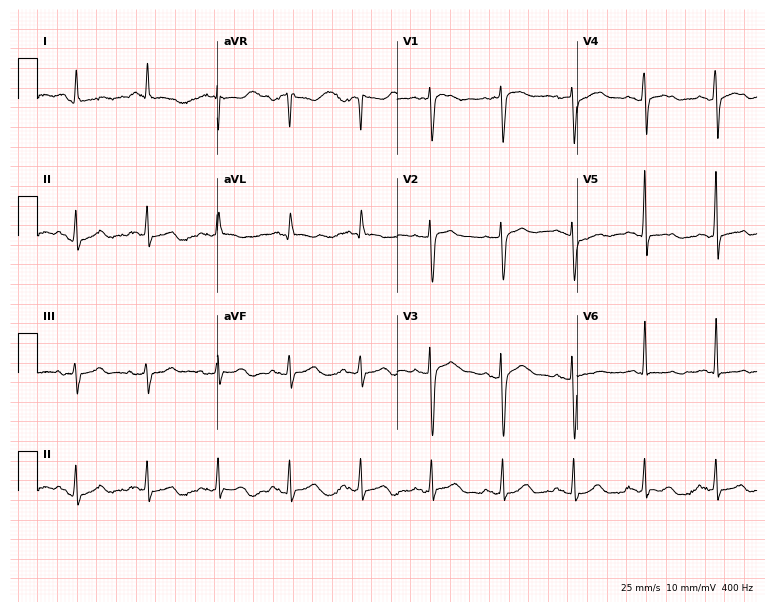
Standard 12-lead ECG recorded from a 70-year-old male (7.3-second recording at 400 Hz). None of these six findings is recorded: first-degree AV block, right bundle branch block (RBBB), left bundle branch block (LBBB), sinus bradycardia, atrial fibrillation (AF), sinus tachycardia. Only these six findings were labelled.